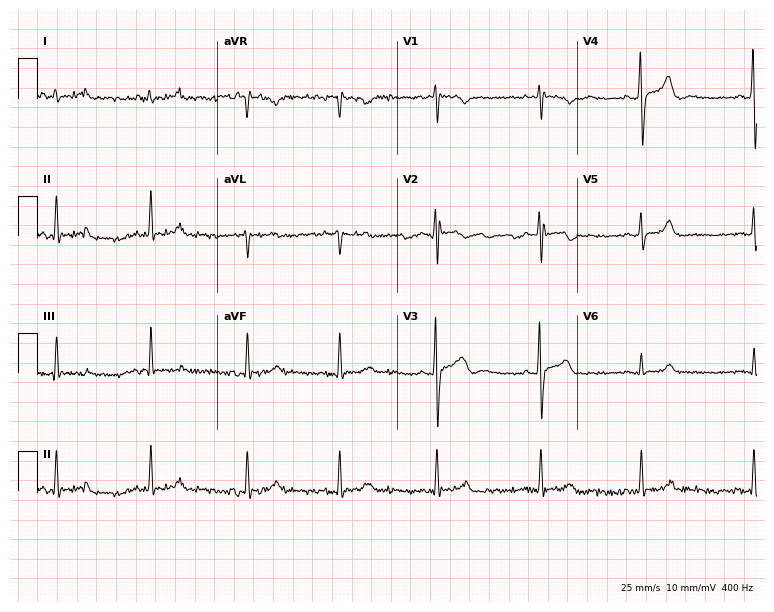
Electrocardiogram, a 30-year-old male. Of the six screened findings (first-degree AV block, right bundle branch block (RBBB), left bundle branch block (LBBB), sinus bradycardia, atrial fibrillation (AF), sinus tachycardia), none is recorded. Other findings, if any, are not listed.